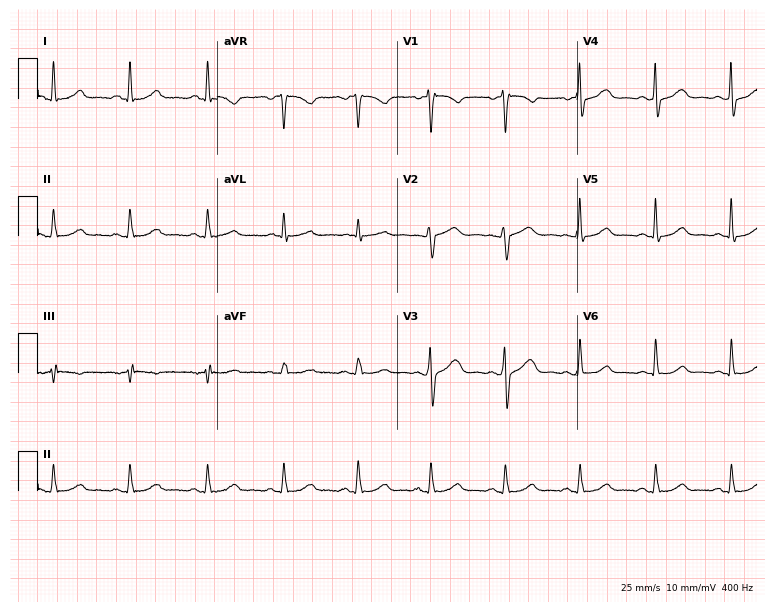
Resting 12-lead electrocardiogram (7.3-second recording at 400 Hz). Patient: a 50-year-old woman. Read as a normal ECG.